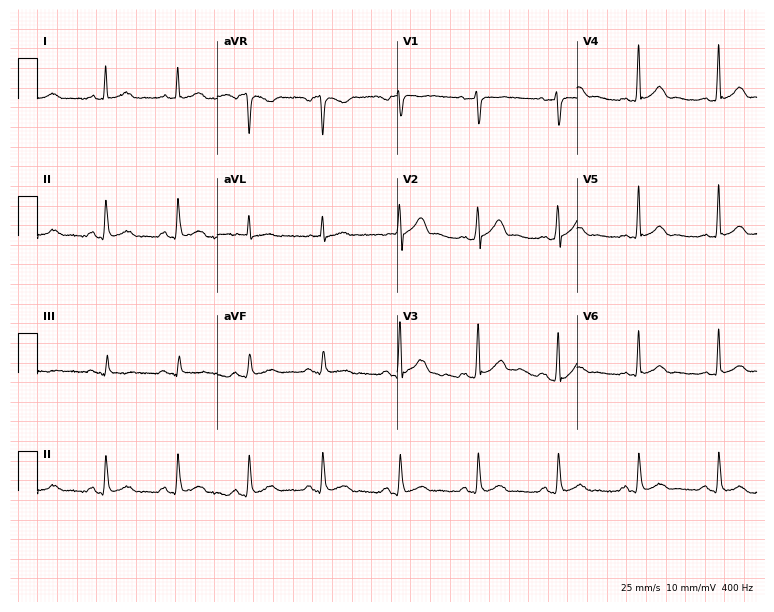
Standard 12-lead ECG recorded from a male patient, 43 years old. Read as a normal ECG.